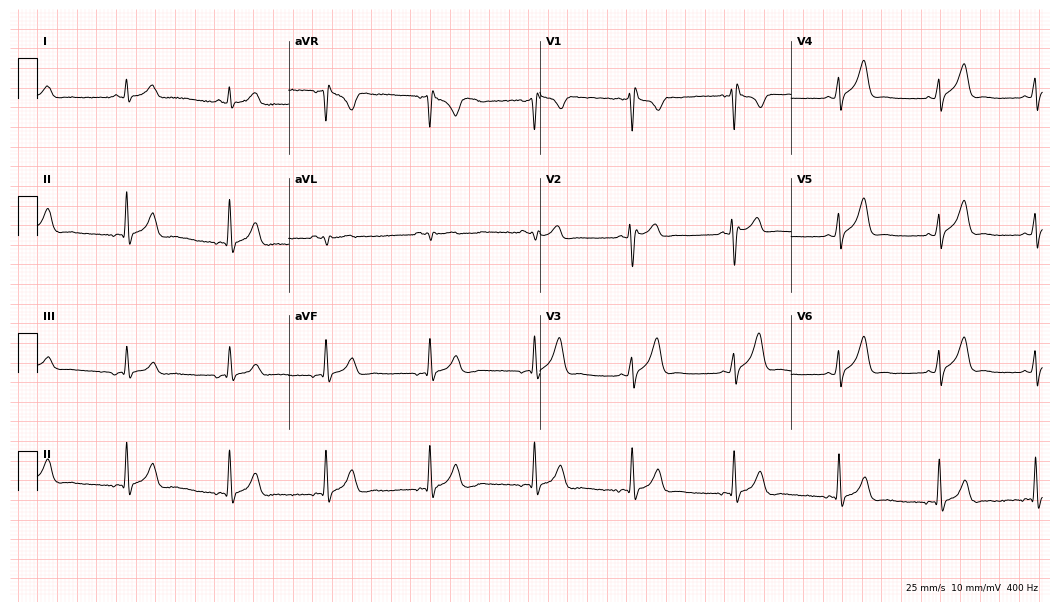
Electrocardiogram (10.2-second recording at 400 Hz), a male, 37 years old. Of the six screened findings (first-degree AV block, right bundle branch block (RBBB), left bundle branch block (LBBB), sinus bradycardia, atrial fibrillation (AF), sinus tachycardia), none is recorded. Other findings, if any, are not listed.